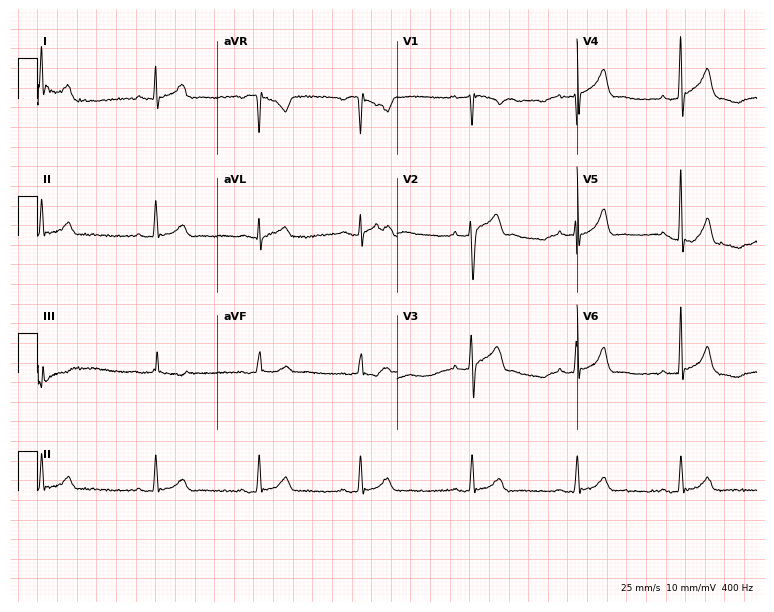
Resting 12-lead electrocardiogram (7.3-second recording at 400 Hz). Patient: a 40-year-old male. Read as a normal ECG.